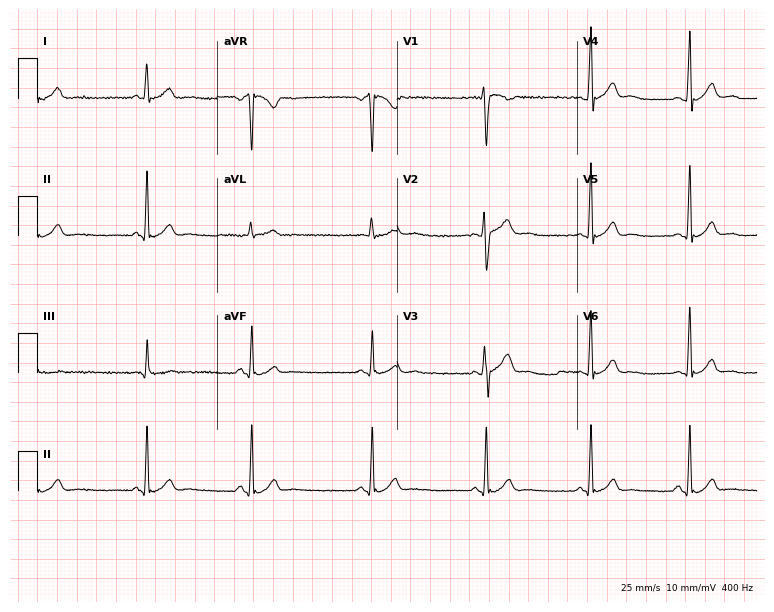
Electrocardiogram, a male, 32 years old. Overall reading on record: normal ECG.